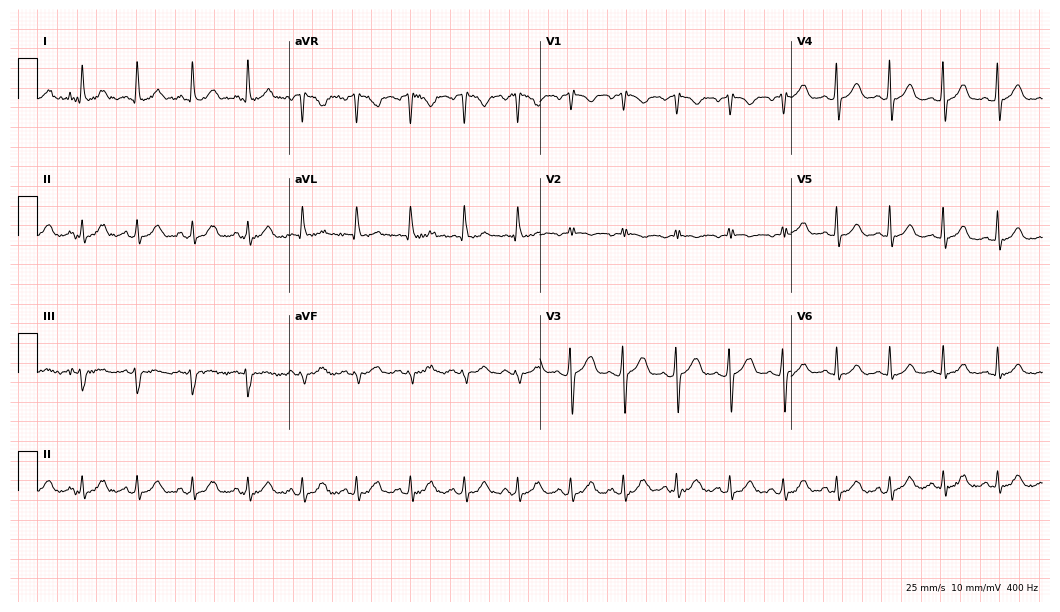
ECG (10.2-second recording at 400 Hz) — a female, 37 years old. Findings include sinus tachycardia (a sinus rate of 100 beats per minute or more).